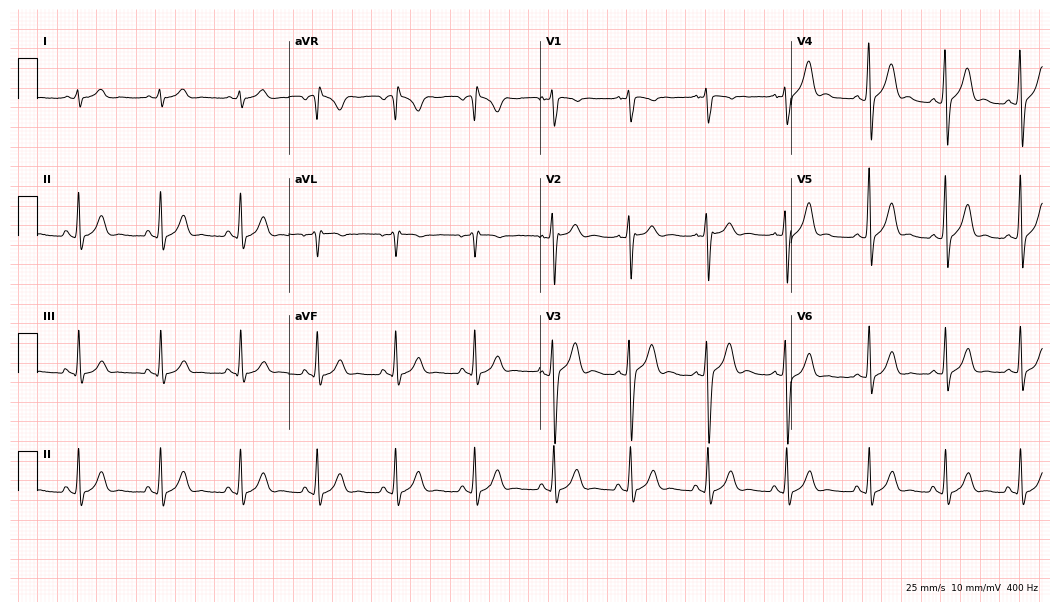
12-lead ECG from a 19-year-old male. Screened for six findings — first-degree AV block, right bundle branch block, left bundle branch block, sinus bradycardia, atrial fibrillation, sinus tachycardia — none is recorded. Only these six findings were labelled.